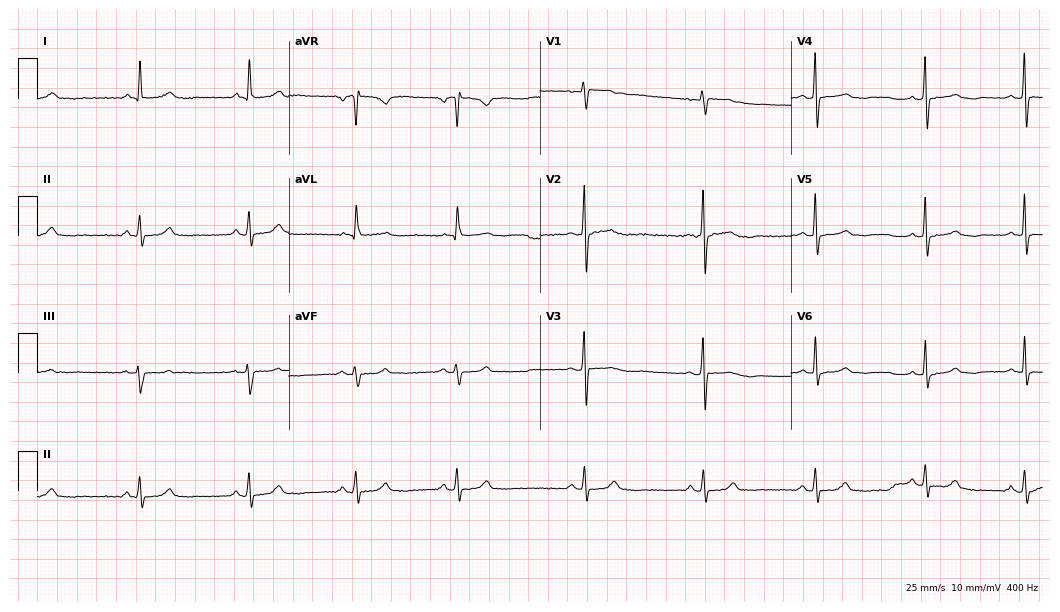
ECG (10.2-second recording at 400 Hz) — a 79-year-old woman. Screened for six findings — first-degree AV block, right bundle branch block, left bundle branch block, sinus bradycardia, atrial fibrillation, sinus tachycardia — none is recorded. Findings outside these six are not listed.